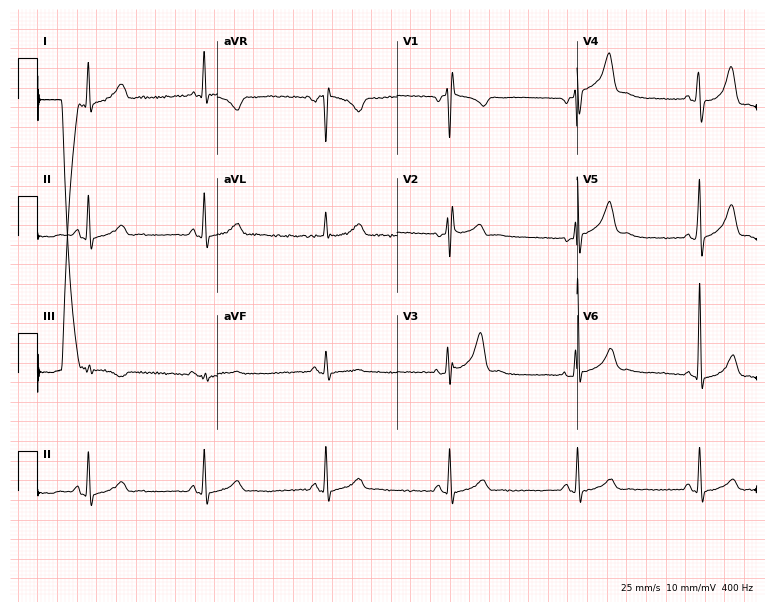
Resting 12-lead electrocardiogram. Patient: a male, 28 years old. None of these six findings is recorded: first-degree AV block, right bundle branch block, left bundle branch block, sinus bradycardia, atrial fibrillation, sinus tachycardia. Other findings, if any, are not listed.